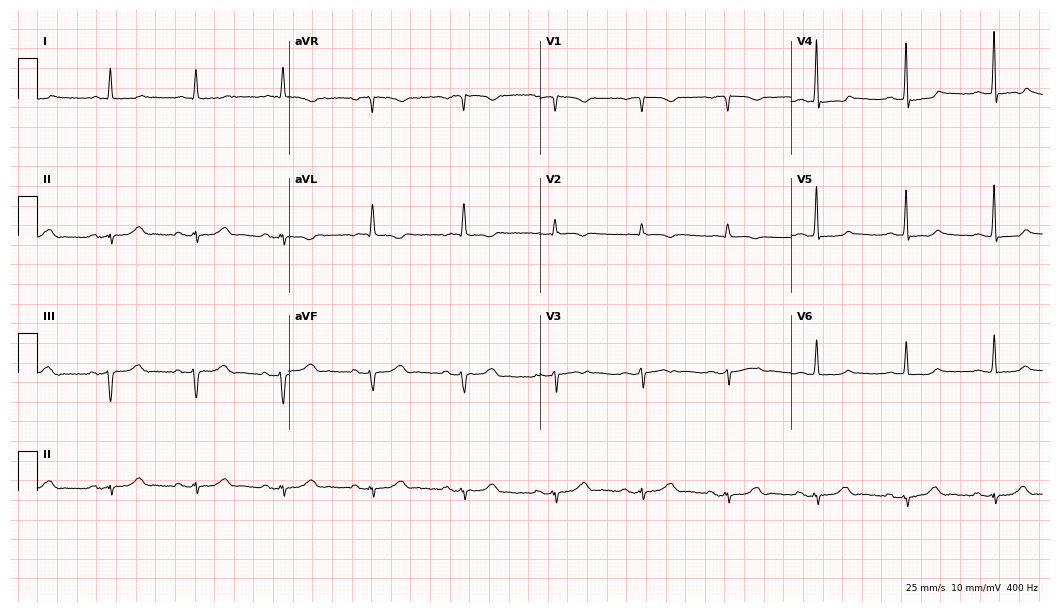
Standard 12-lead ECG recorded from an 86-year-old woman (10.2-second recording at 400 Hz). None of these six findings is recorded: first-degree AV block, right bundle branch block (RBBB), left bundle branch block (LBBB), sinus bradycardia, atrial fibrillation (AF), sinus tachycardia. Only these six findings were labelled.